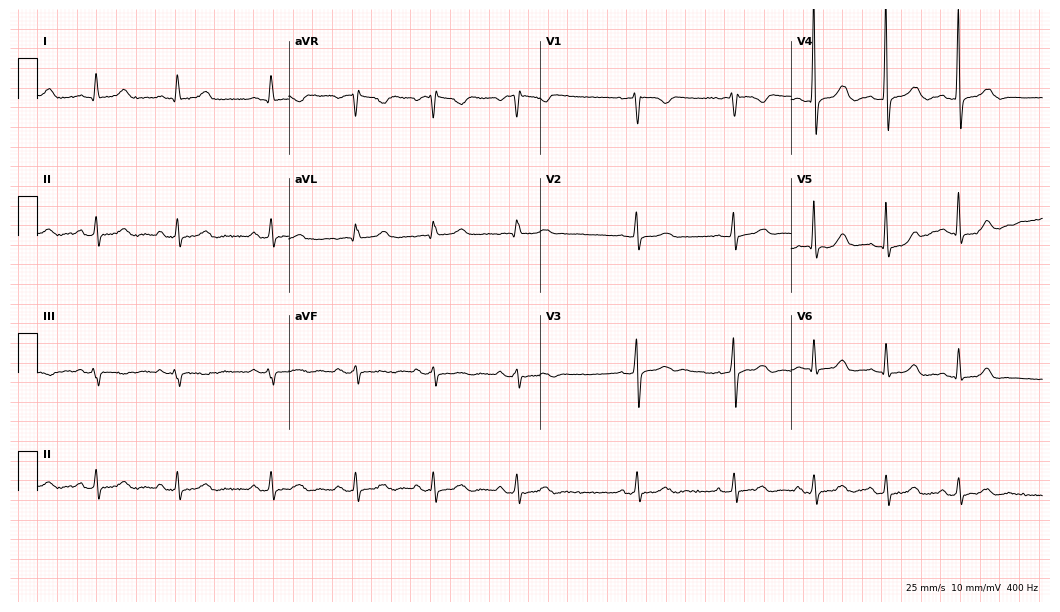
Resting 12-lead electrocardiogram. Patient: a 21-year-old woman. None of these six findings is recorded: first-degree AV block, right bundle branch block, left bundle branch block, sinus bradycardia, atrial fibrillation, sinus tachycardia. Other findings, if any, are not listed.